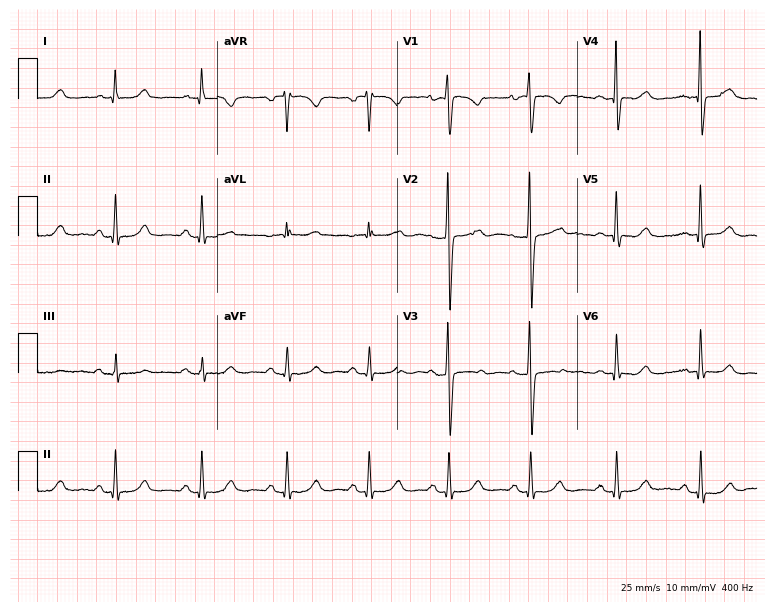
ECG (7.3-second recording at 400 Hz) — a 52-year-old female patient. Labelled as a normal ECG.